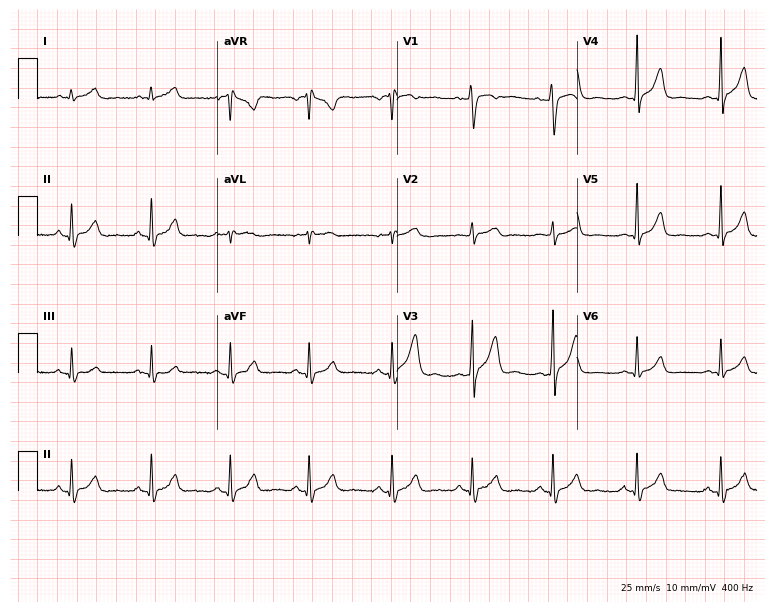
Resting 12-lead electrocardiogram. Patient: a male, 23 years old. Read as a normal ECG.